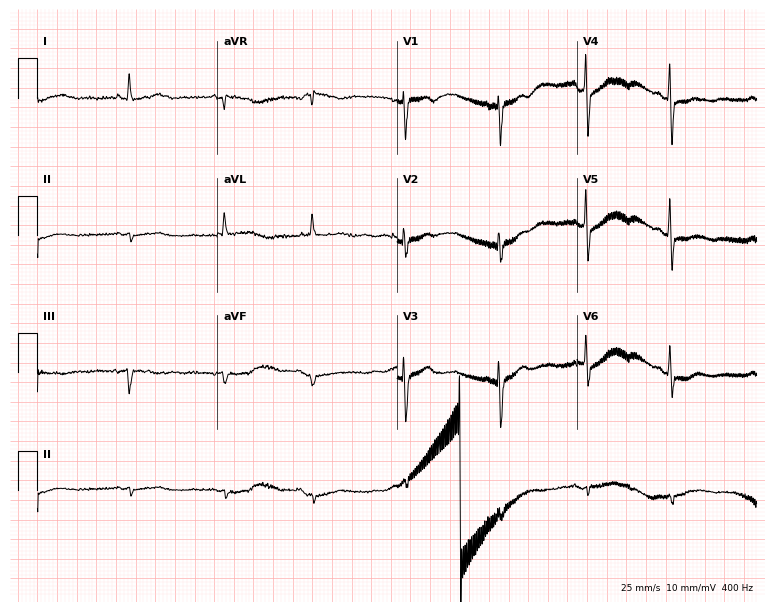
ECG — a woman, 79 years old. Screened for six findings — first-degree AV block, right bundle branch block (RBBB), left bundle branch block (LBBB), sinus bradycardia, atrial fibrillation (AF), sinus tachycardia — none is recorded.